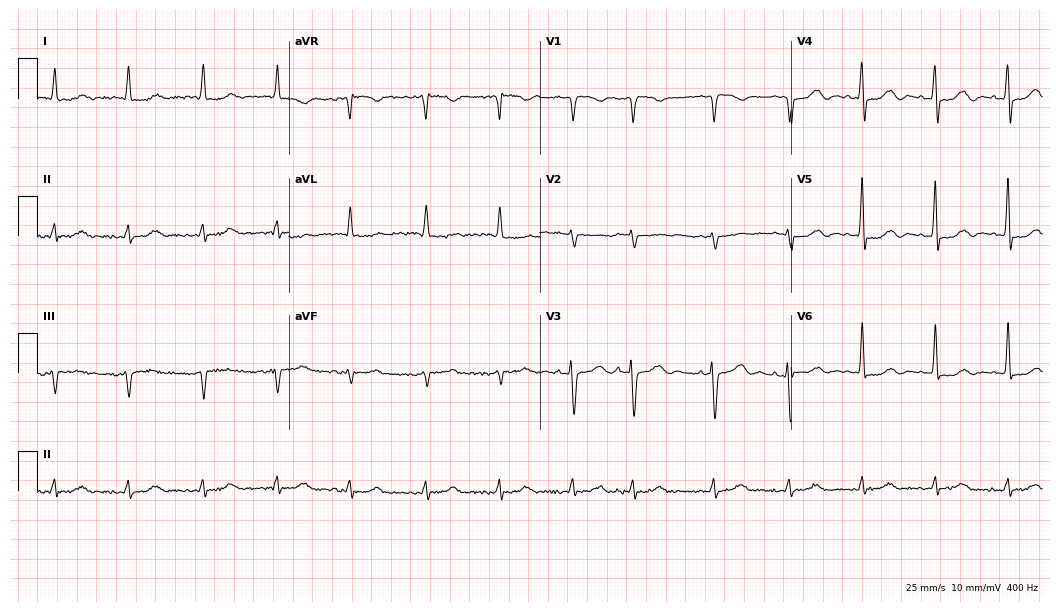
ECG — an 85-year-old woman. Screened for six findings — first-degree AV block, right bundle branch block (RBBB), left bundle branch block (LBBB), sinus bradycardia, atrial fibrillation (AF), sinus tachycardia — none is recorded. Only these six findings were labelled.